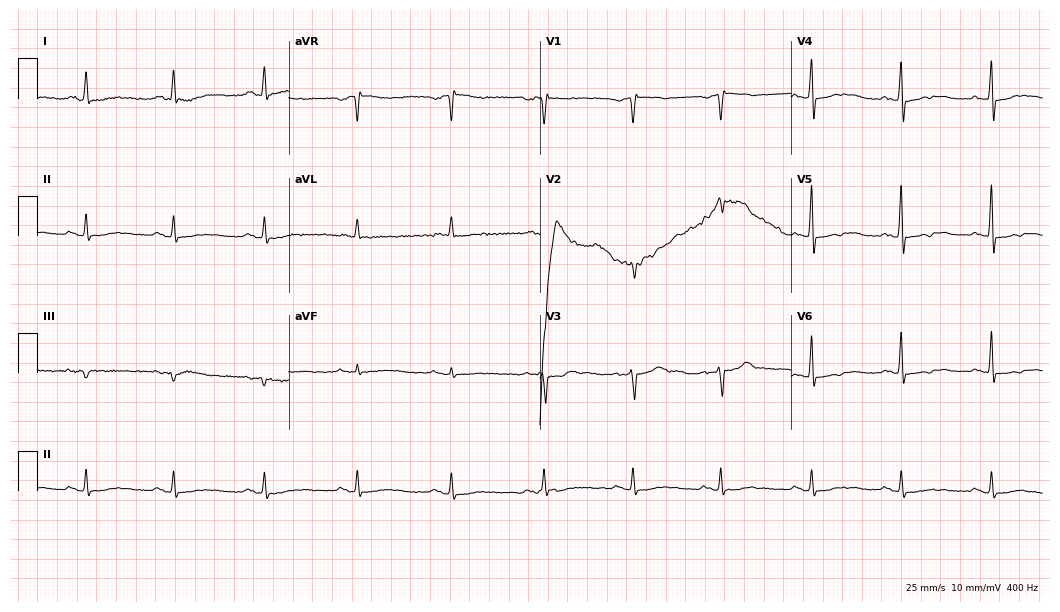
12-lead ECG (10.2-second recording at 400 Hz) from a 61-year-old male. Screened for six findings — first-degree AV block, right bundle branch block, left bundle branch block, sinus bradycardia, atrial fibrillation, sinus tachycardia — none is recorded. Findings outside these six are not listed.